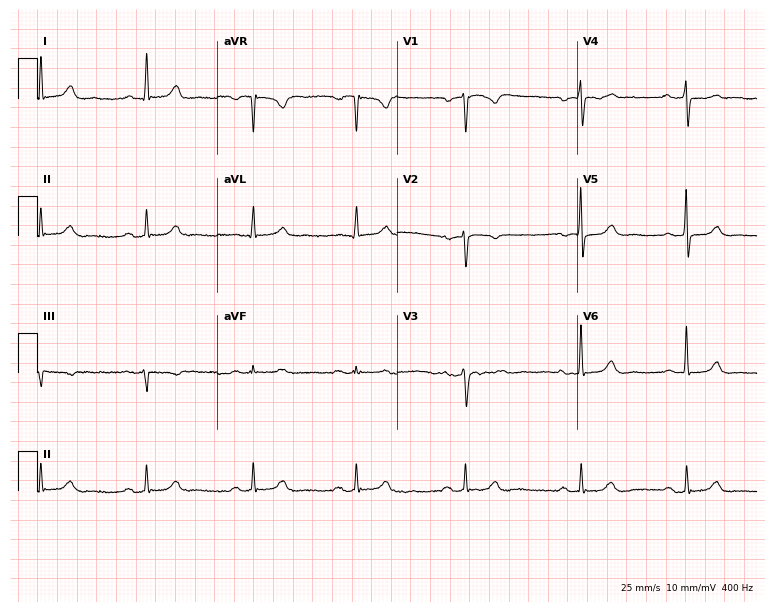
12-lead ECG from a 47-year-old female (7.3-second recording at 400 Hz). Recorded interpretation: within normal limits.